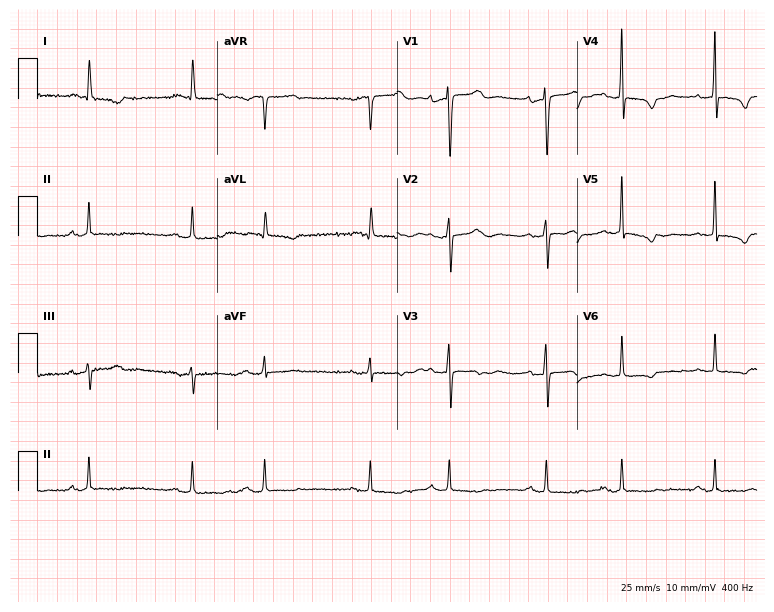
Resting 12-lead electrocardiogram. Patient: an 83-year-old woman. None of these six findings is recorded: first-degree AV block, right bundle branch block, left bundle branch block, sinus bradycardia, atrial fibrillation, sinus tachycardia. Other findings, if any, are not listed.